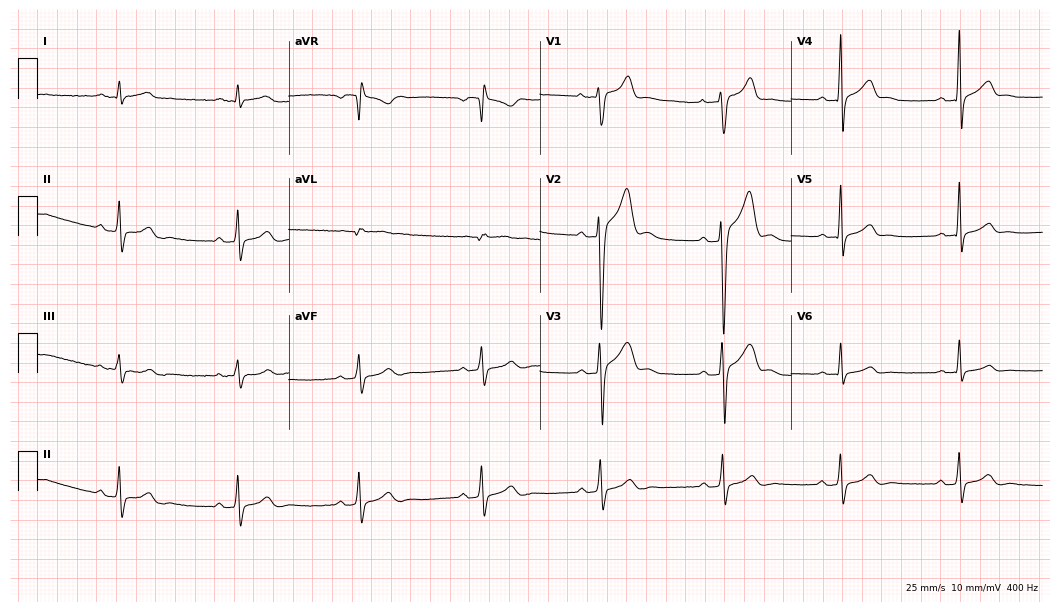
Standard 12-lead ECG recorded from a man, 29 years old. None of these six findings is recorded: first-degree AV block, right bundle branch block, left bundle branch block, sinus bradycardia, atrial fibrillation, sinus tachycardia.